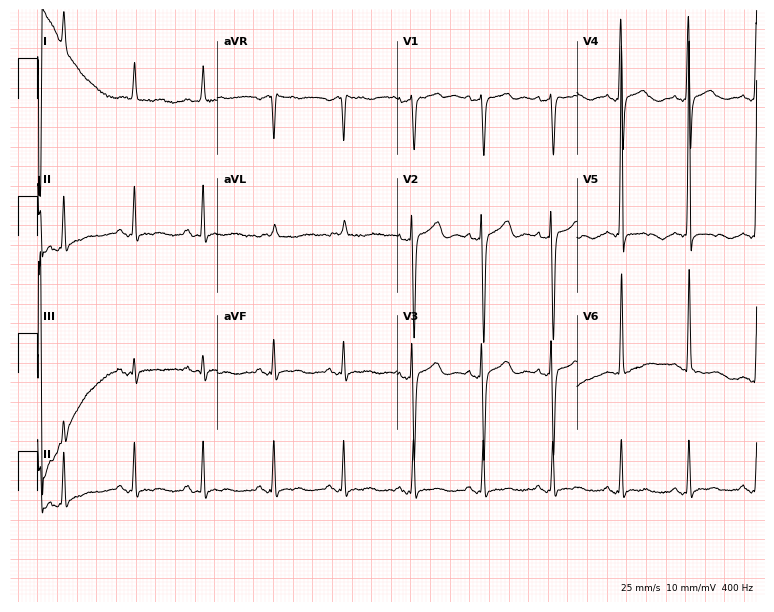
Electrocardiogram (7.3-second recording at 400 Hz), an 84-year-old female. Of the six screened findings (first-degree AV block, right bundle branch block, left bundle branch block, sinus bradycardia, atrial fibrillation, sinus tachycardia), none is recorded.